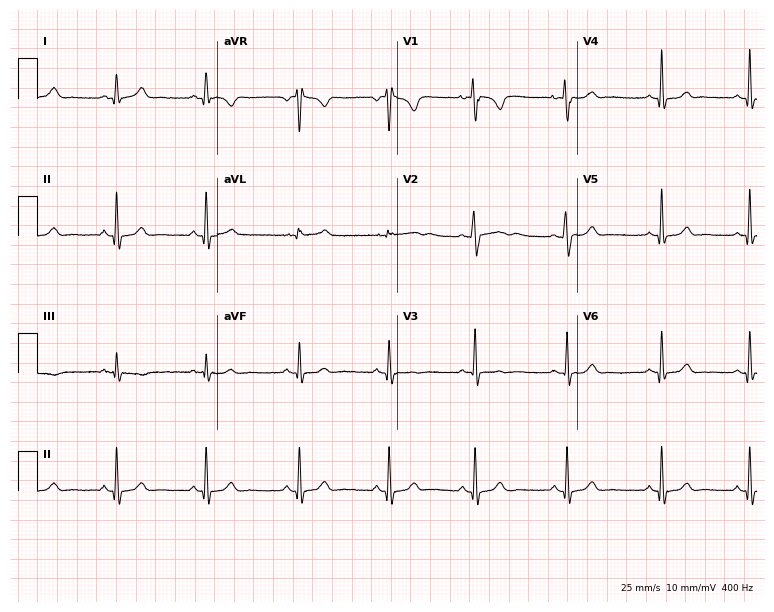
Resting 12-lead electrocardiogram. Patient: a female, 22 years old. None of these six findings is recorded: first-degree AV block, right bundle branch block, left bundle branch block, sinus bradycardia, atrial fibrillation, sinus tachycardia.